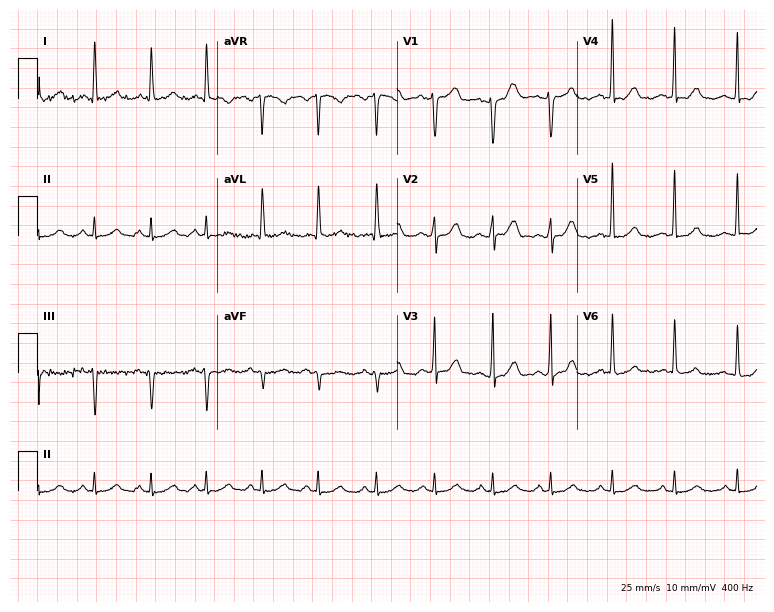
12-lead ECG from a 49-year-old female. Labelled as a normal ECG.